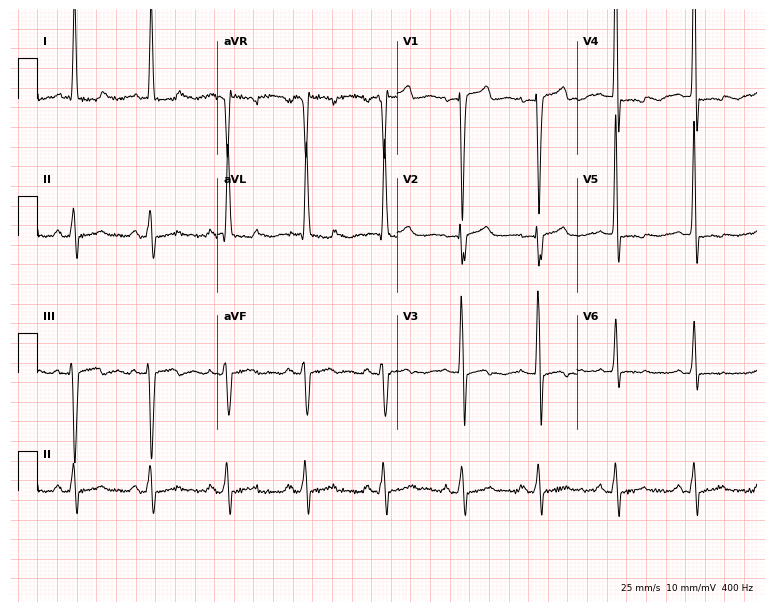
12-lead ECG from a female patient, 83 years old. Screened for six findings — first-degree AV block, right bundle branch block, left bundle branch block, sinus bradycardia, atrial fibrillation, sinus tachycardia — none is recorded. Only these six findings were labelled.